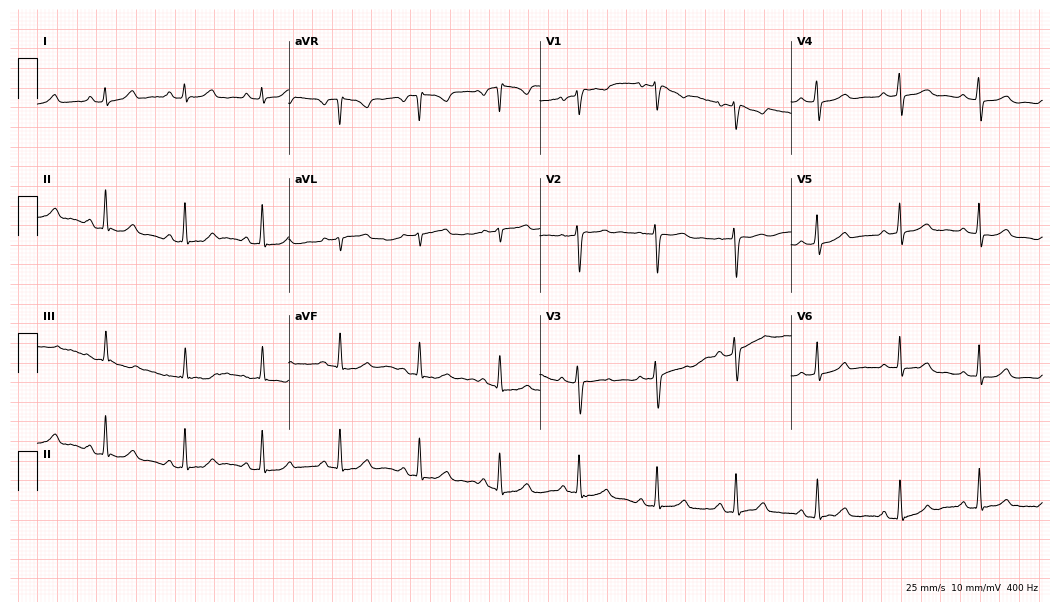
Resting 12-lead electrocardiogram. Patient: a 42-year-old female. None of these six findings is recorded: first-degree AV block, right bundle branch block, left bundle branch block, sinus bradycardia, atrial fibrillation, sinus tachycardia. Findings outside these six are not listed.